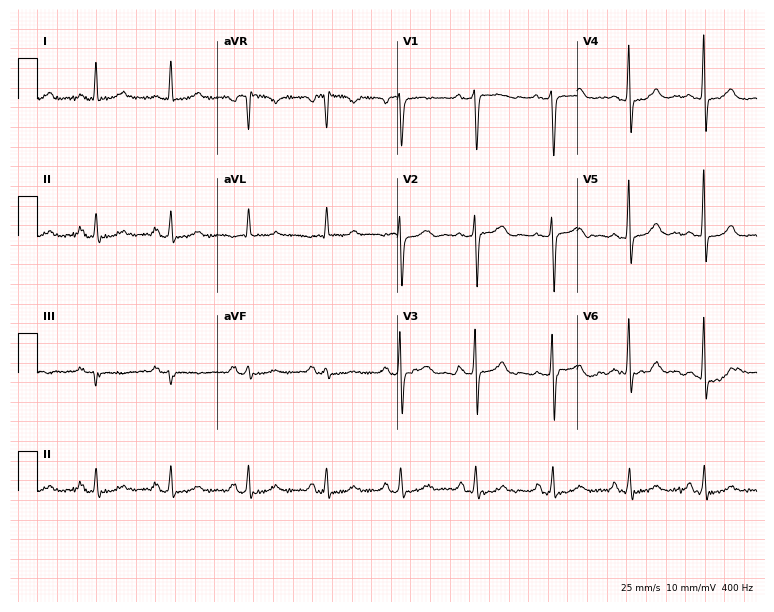
Standard 12-lead ECG recorded from a woman, 57 years old. Read as a normal ECG.